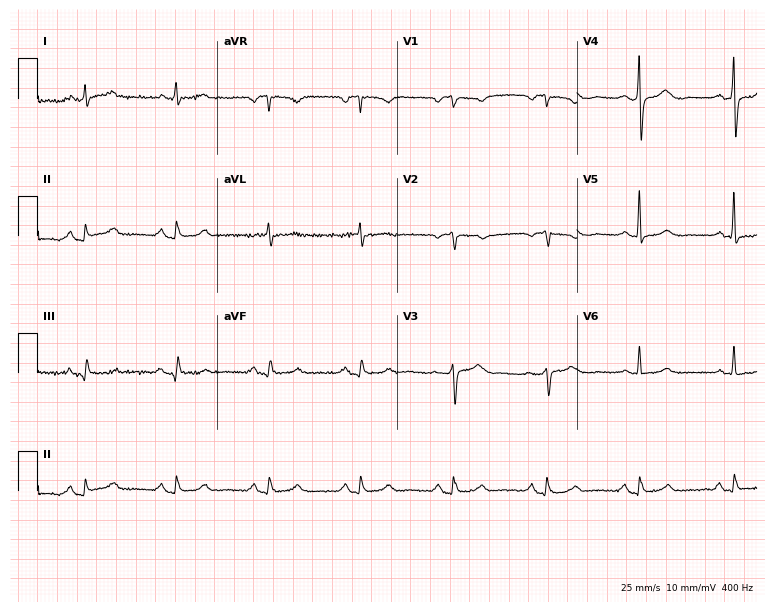
Resting 12-lead electrocardiogram (7.3-second recording at 400 Hz). Patient: a 79-year-old female. None of these six findings is recorded: first-degree AV block, right bundle branch block, left bundle branch block, sinus bradycardia, atrial fibrillation, sinus tachycardia.